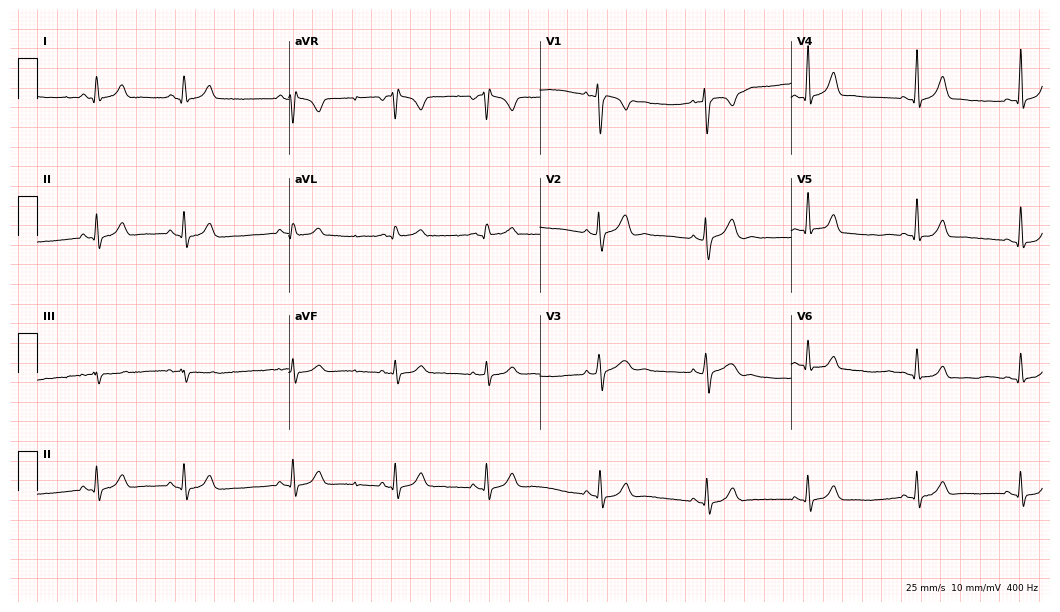
12-lead ECG (10.2-second recording at 400 Hz) from a woman, 25 years old. Screened for six findings — first-degree AV block, right bundle branch block (RBBB), left bundle branch block (LBBB), sinus bradycardia, atrial fibrillation (AF), sinus tachycardia — none is recorded.